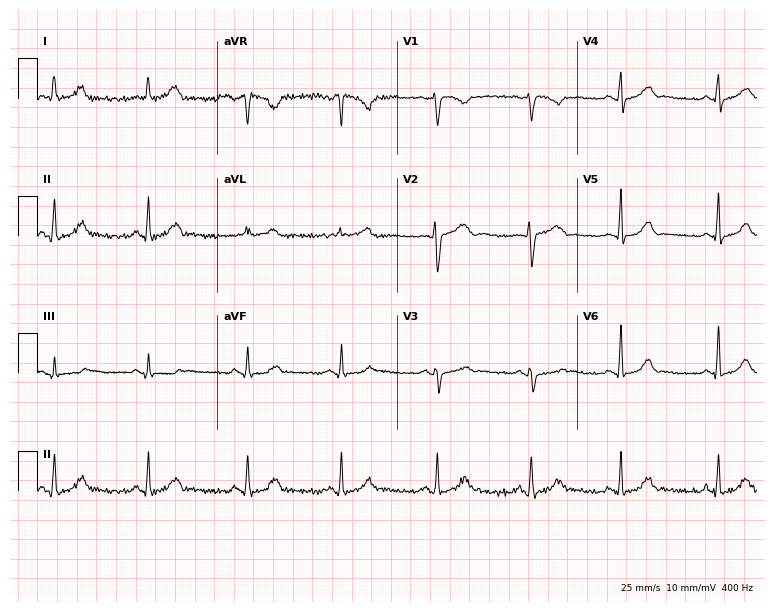
Resting 12-lead electrocardiogram (7.3-second recording at 400 Hz). Patient: a 25-year-old female. Read as a normal ECG.